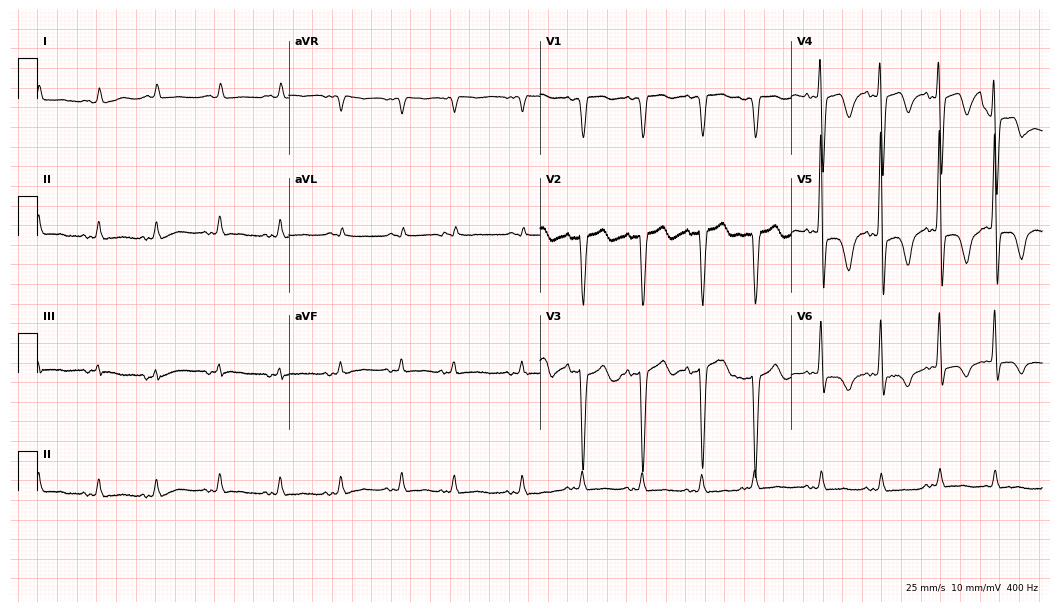
12-lead ECG from an 84-year-old male patient (10.2-second recording at 400 Hz). No first-degree AV block, right bundle branch block (RBBB), left bundle branch block (LBBB), sinus bradycardia, atrial fibrillation (AF) or sinus tachycardia recorded for this tracing. Only these six findings were labelled.